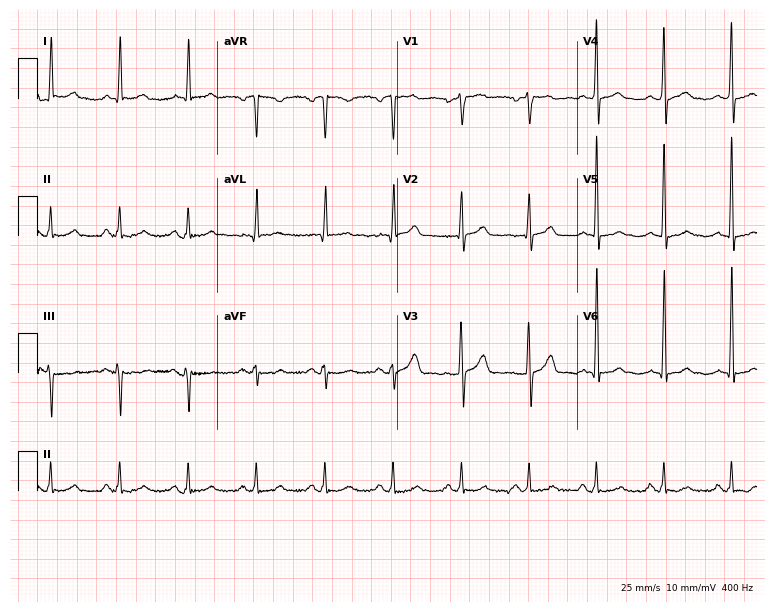
ECG — a 64-year-old male. Labelled as a normal ECG.